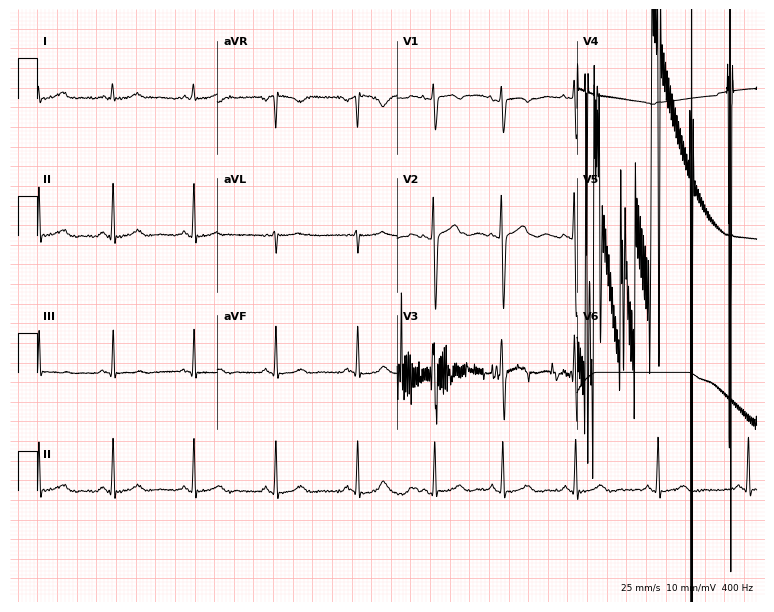
12-lead ECG from a woman, 27 years old (7.3-second recording at 400 Hz). No first-degree AV block, right bundle branch block, left bundle branch block, sinus bradycardia, atrial fibrillation or sinus tachycardia recorded for this tracing.